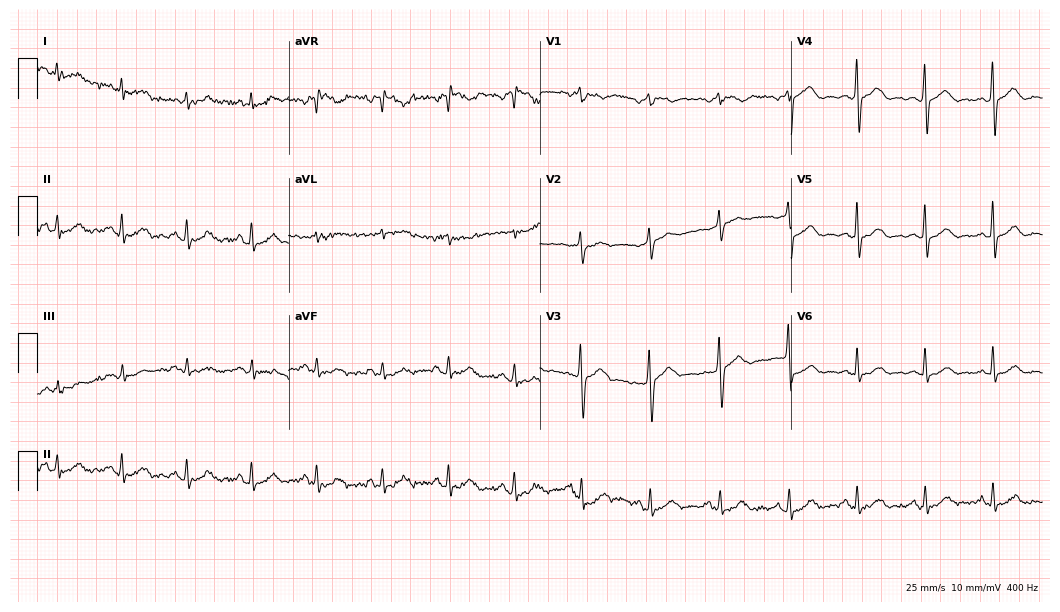
Resting 12-lead electrocardiogram. Patient: a woman, 48 years old. None of these six findings is recorded: first-degree AV block, right bundle branch block (RBBB), left bundle branch block (LBBB), sinus bradycardia, atrial fibrillation (AF), sinus tachycardia. Findings outside these six are not listed.